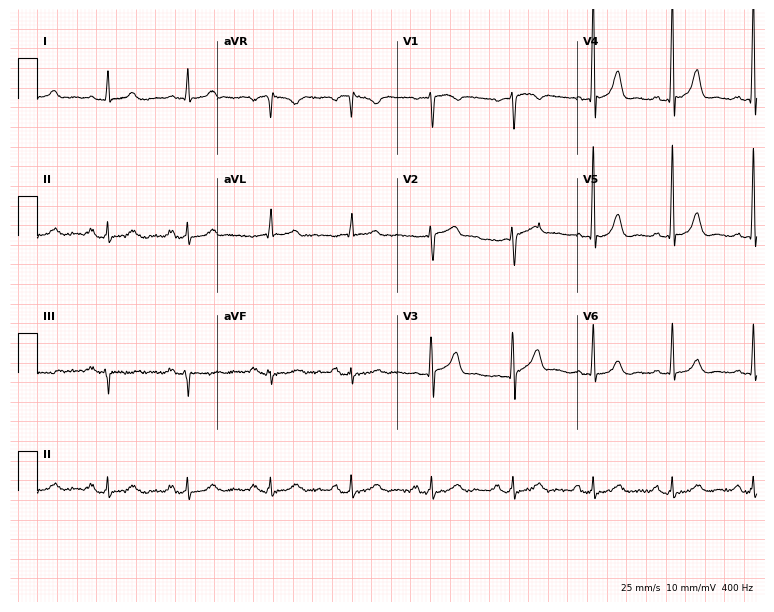
12-lead ECG from an 87-year-old male patient (7.3-second recording at 400 Hz). Recorded interpretation: within normal limits.